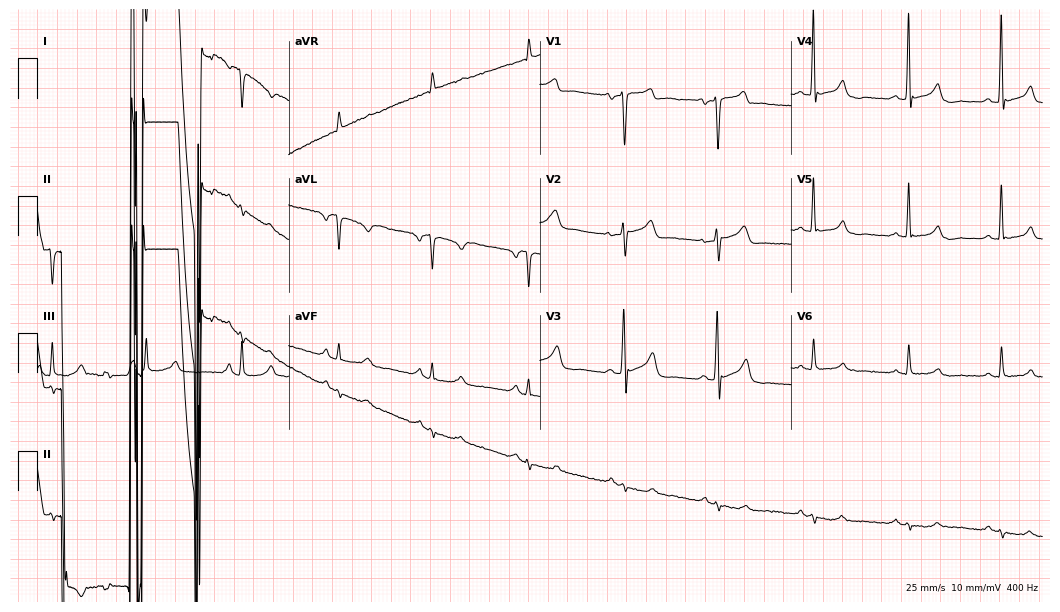
Standard 12-lead ECG recorded from a 60-year-old man (10.2-second recording at 400 Hz). None of these six findings is recorded: first-degree AV block, right bundle branch block, left bundle branch block, sinus bradycardia, atrial fibrillation, sinus tachycardia. Other findings, if any, are not listed.